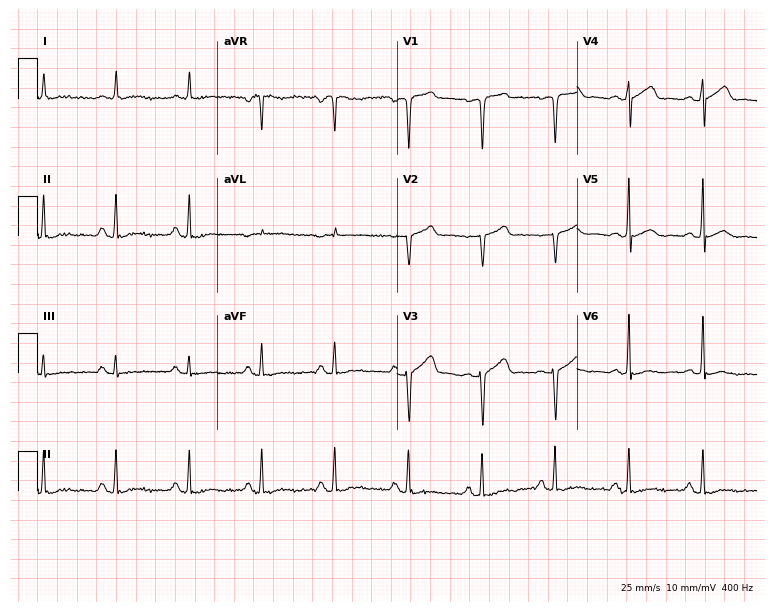
ECG — a 64-year-old male. Screened for six findings — first-degree AV block, right bundle branch block, left bundle branch block, sinus bradycardia, atrial fibrillation, sinus tachycardia — none is recorded.